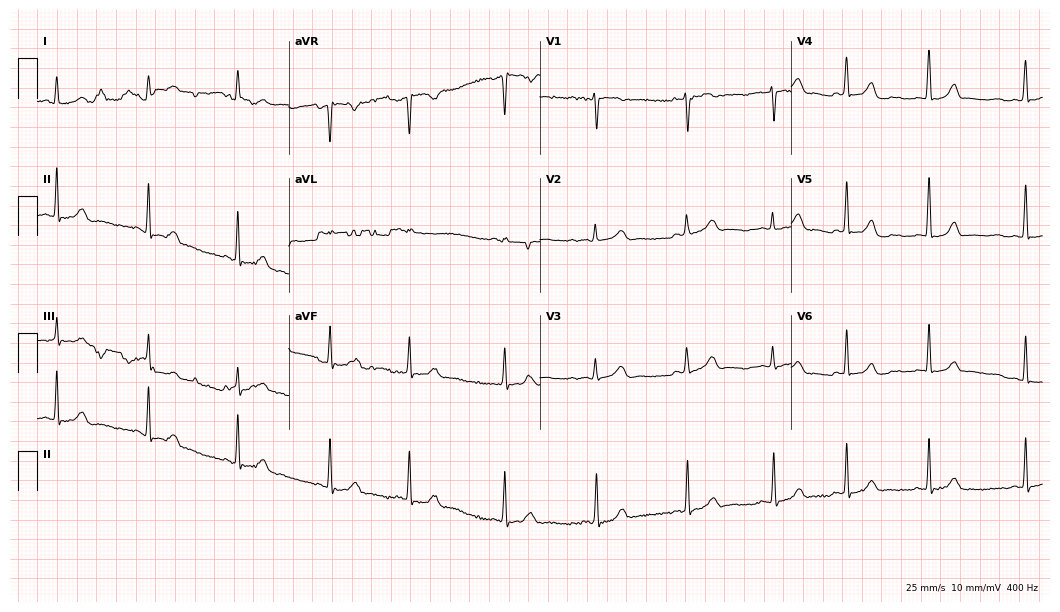
Electrocardiogram (10.2-second recording at 400 Hz), a female patient, 30 years old. Overall reading on record: normal ECG.